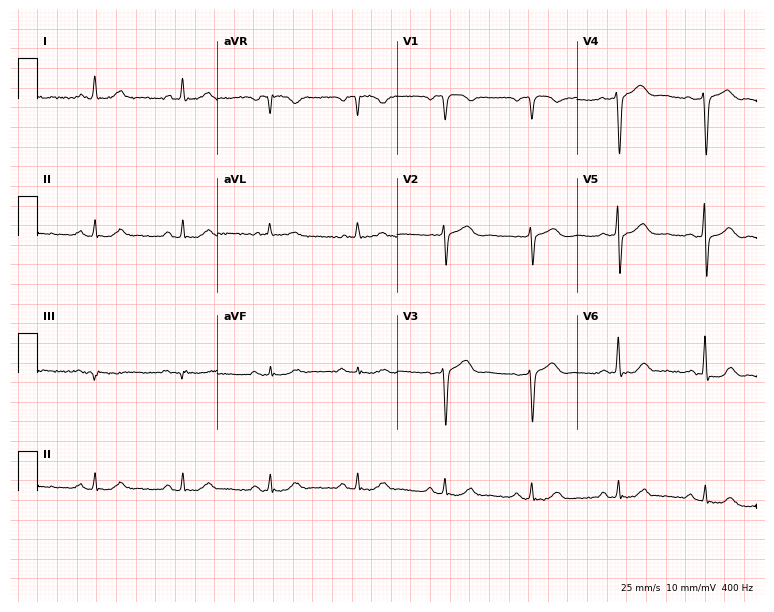
12-lead ECG from a male, 67 years old. No first-degree AV block, right bundle branch block (RBBB), left bundle branch block (LBBB), sinus bradycardia, atrial fibrillation (AF) or sinus tachycardia recorded for this tracing. Other findings, if any, are not listed.